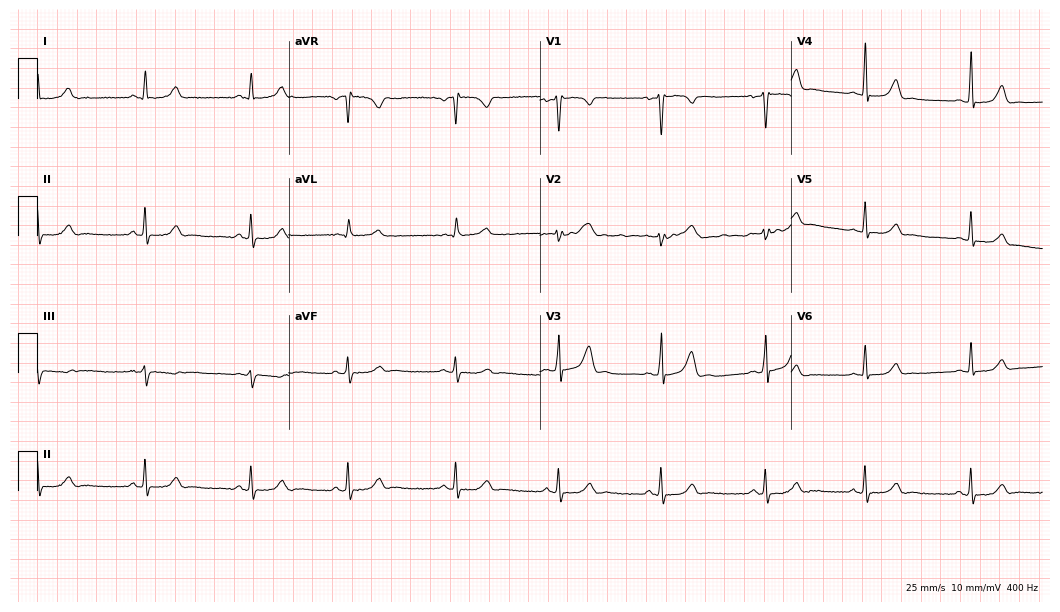
12-lead ECG (10.2-second recording at 400 Hz) from a female patient, 29 years old. Screened for six findings — first-degree AV block, right bundle branch block (RBBB), left bundle branch block (LBBB), sinus bradycardia, atrial fibrillation (AF), sinus tachycardia — none is recorded. Other findings, if any, are not listed.